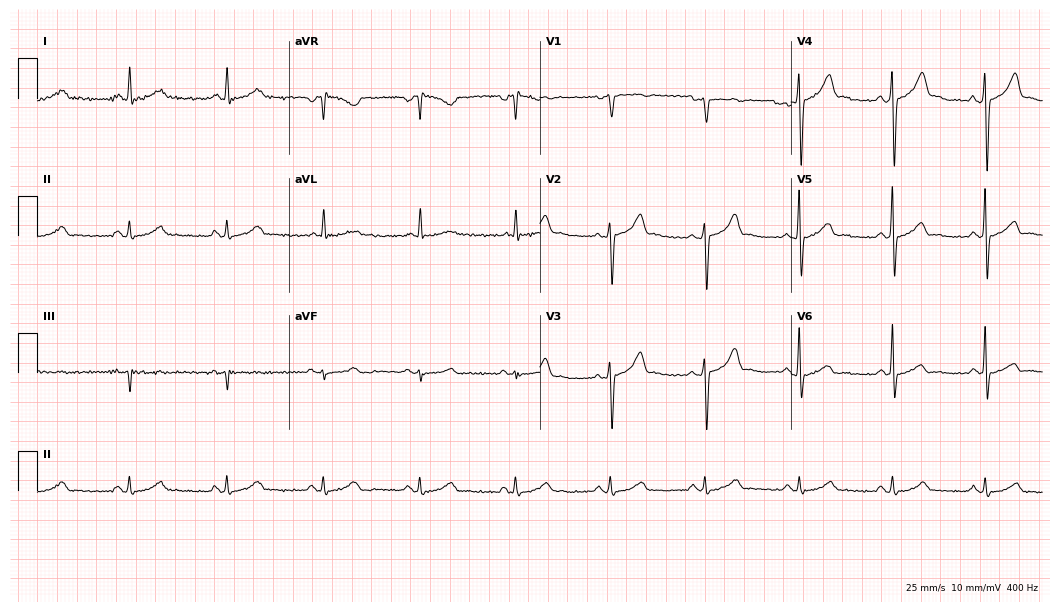
12-lead ECG from a male, 63 years old (10.2-second recording at 400 Hz). Recorded interpretation: within normal limits.